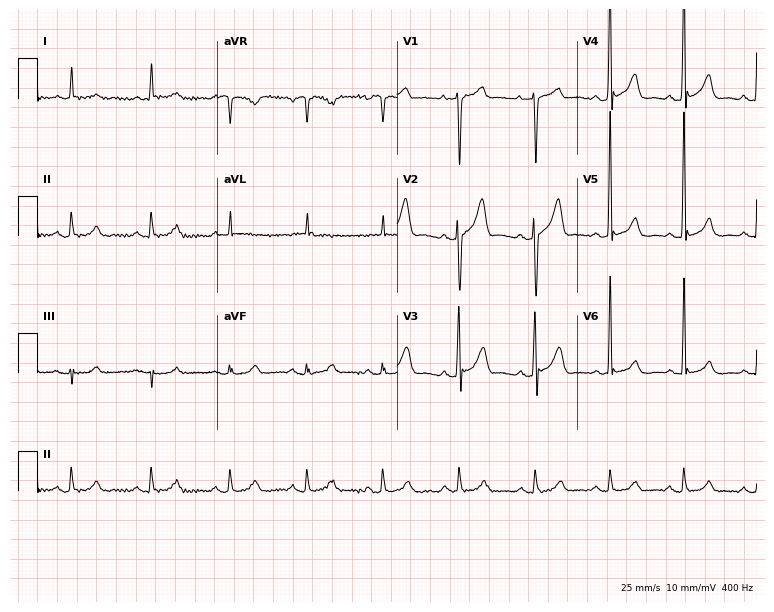
12-lead ECG (7.3-second recording at 400 Hz) from a male patient, 61 years old. Labelled as a normal ECG.